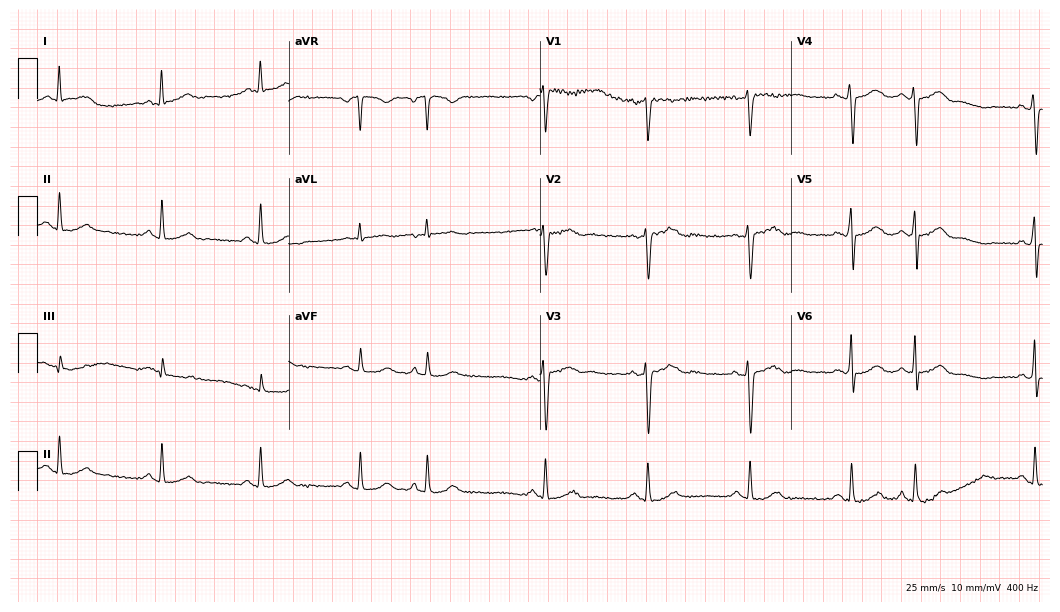
12-lead ECG from a 44-year-old female patient (10.2-second recording at 400 Hz). No first-degree AV block, right bundle branch block (RBBB), left bundle branch block (LBBB), sinus bradycardia, atrial fibrillation (AF) or sinus tachycardia recorded for this tracing.